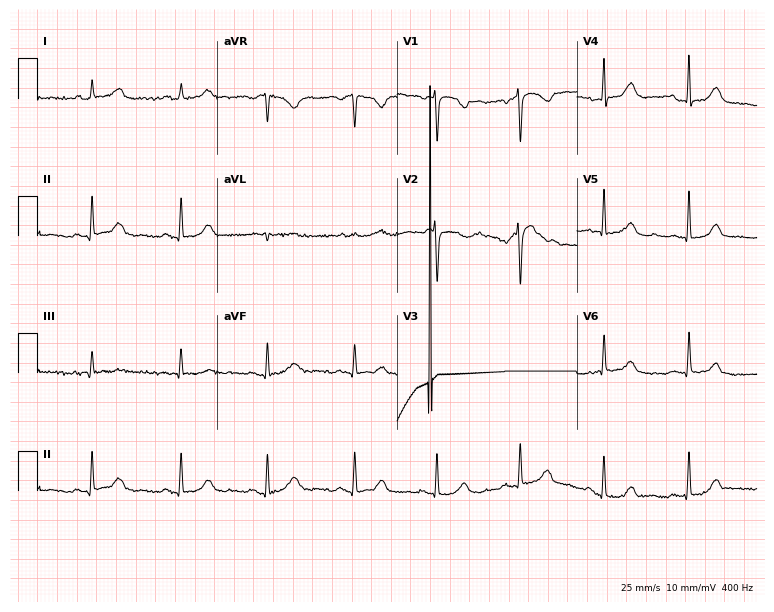
Standard 12-lead ECG recorded from a 49-year-old woman (7.3-second recording at 400 Hz). Read as a normal ECG.